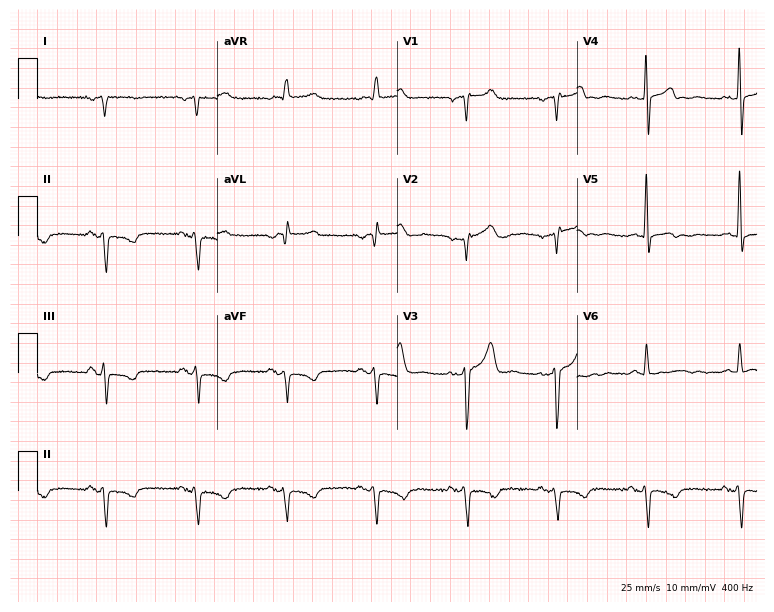
Resting 12-lead electrocardiogram (7.3-second recording at 400 Hz). Patient: a man, 67 years old. None of these six findings is recorded: first-degree AV block, right bundle branch block (RBBB), left bundle branch block (LBBB), sinus bradycardia, atrial fibrillation (AF), sinus tachycardia. Findings outside these six are not listed.